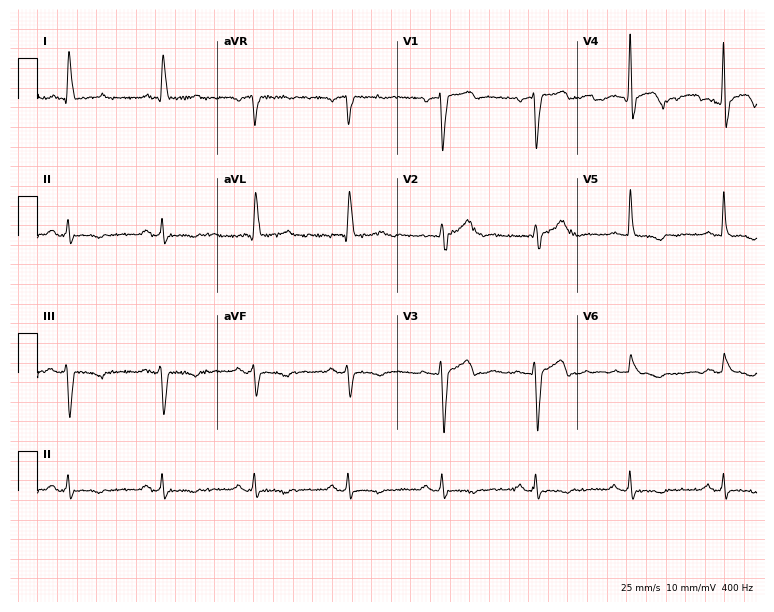
ECG (7.3-second recording at 400 Hz) — a male patient, 81 years old. Screened for six findings — first-degree AV block, right bundle branch block, left bundle branch block, sinus bradycardia, atrial fibrillation, sinus tachycardia — none is recorded.